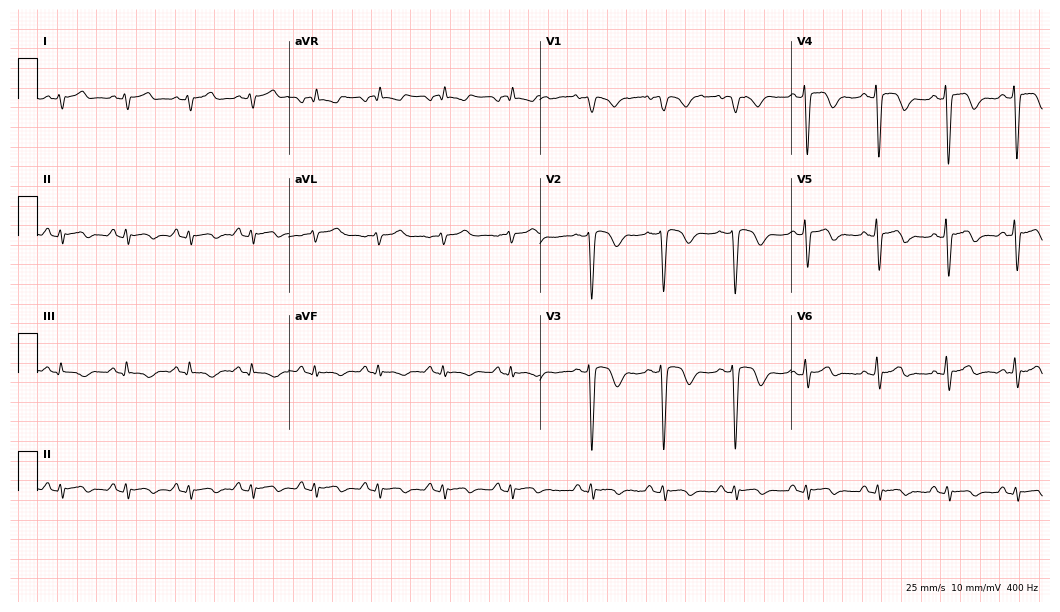
12-lead ECG from a man, 29 years old. Screened for six findings — first-degree AV block, right bundle branch block, left bundle branch block, sinus bradycardia, atrial fibrillation, sinus tachycardia — none is recorded. Only these six findings were labelled.